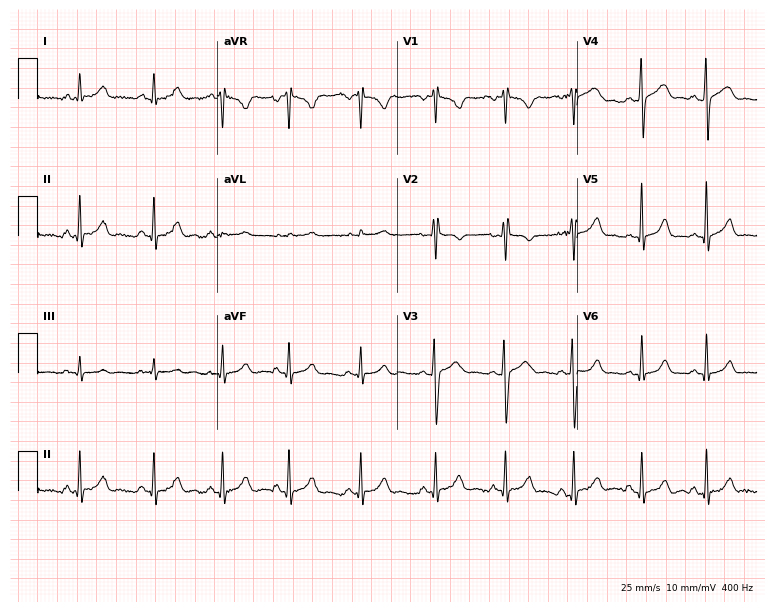
ECG (7.3-second recording at 400 Hz) — a 17-year-old female. Labelled as a normal ECG.